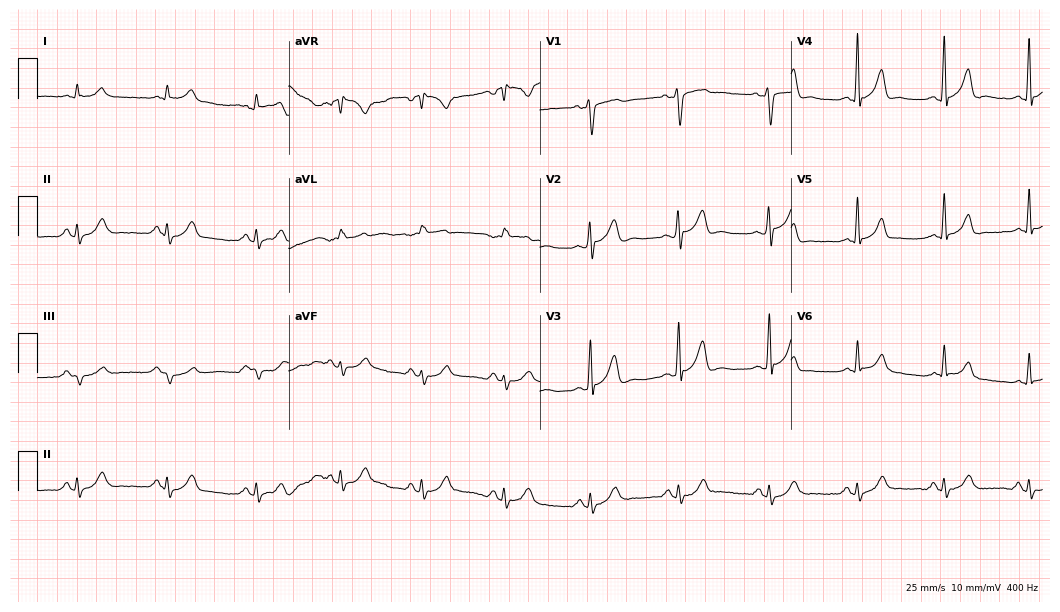
Standard 12-lead ECG recorded from a 46-year-old man. Read as a normal ECG.